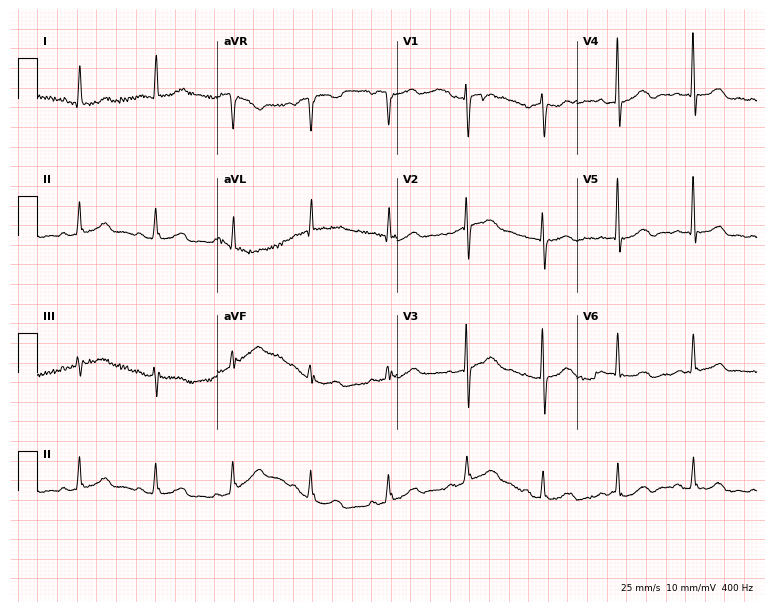
12-lead ECG from a female, 71 years old (7.3-second recording at 400 Hz). Recorded interpretation: within normal limits.